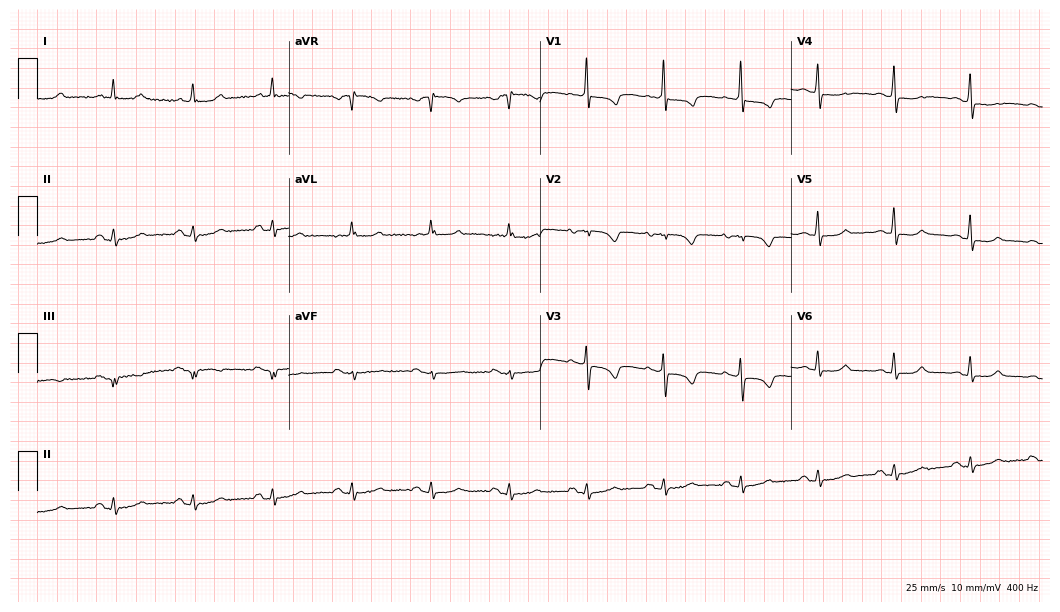
Resting 12-lead electrocardiogram. Patient: a 59-year-old female. None of these six findings is recorded: first-degree AV block, right bundle branch block, left bundle branch block, sinus bradycardia, atrial fibrillation, sinus tachycardia.